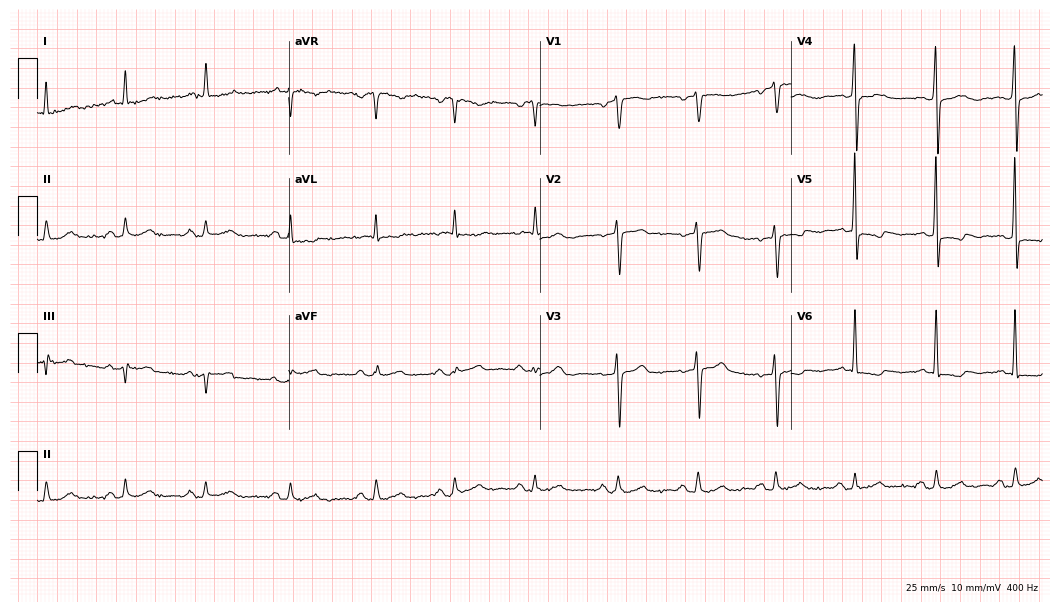
ECG (10.2-second recording at 400 Hz) — a male, 77 years old. Screened for six findings — first-degree AV block, right bundle branch block, left bundle branch block, sinus bradycardia, atrial fibrillation, sinus tachycardia — none is recorded.